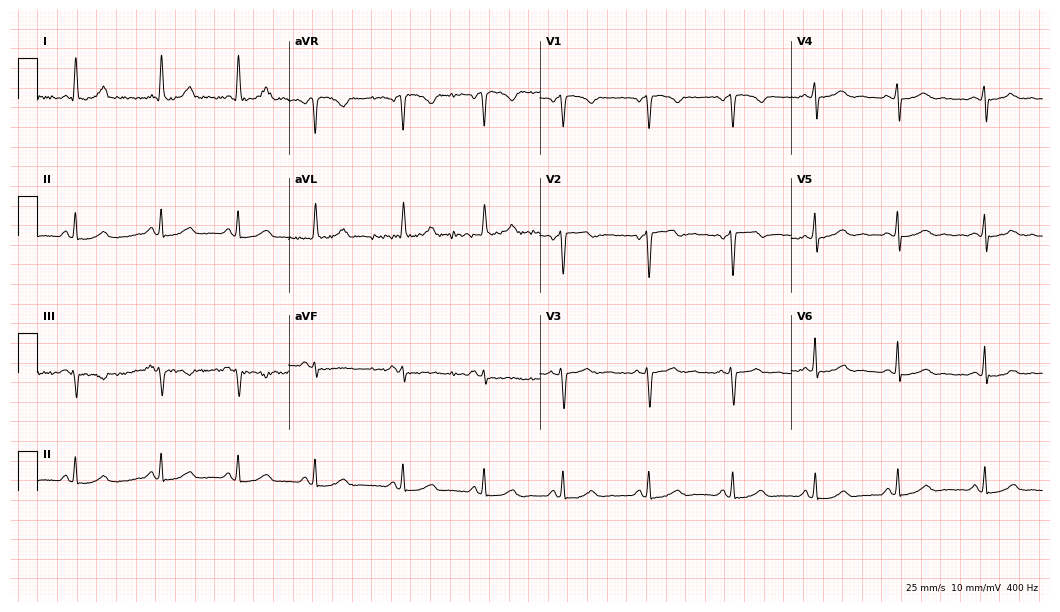
Resting 12-lead electrocardiogram (10.2-second recording at 400 Hz). Patient: a 49-year-old female. Read as a normal ECG.